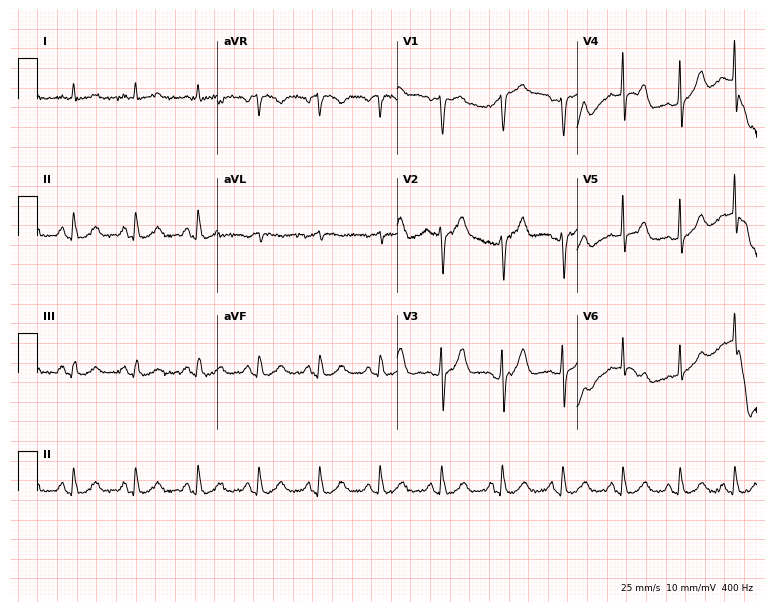
Resting 12-lead electrocardiogram. Patient: a 63-year-old male. None of these six findings is recorded: first-degree AV block, right bundle branch block, left bundle branch block, sinus bradycardia, atrial fibrillation, sinus tachycardia.